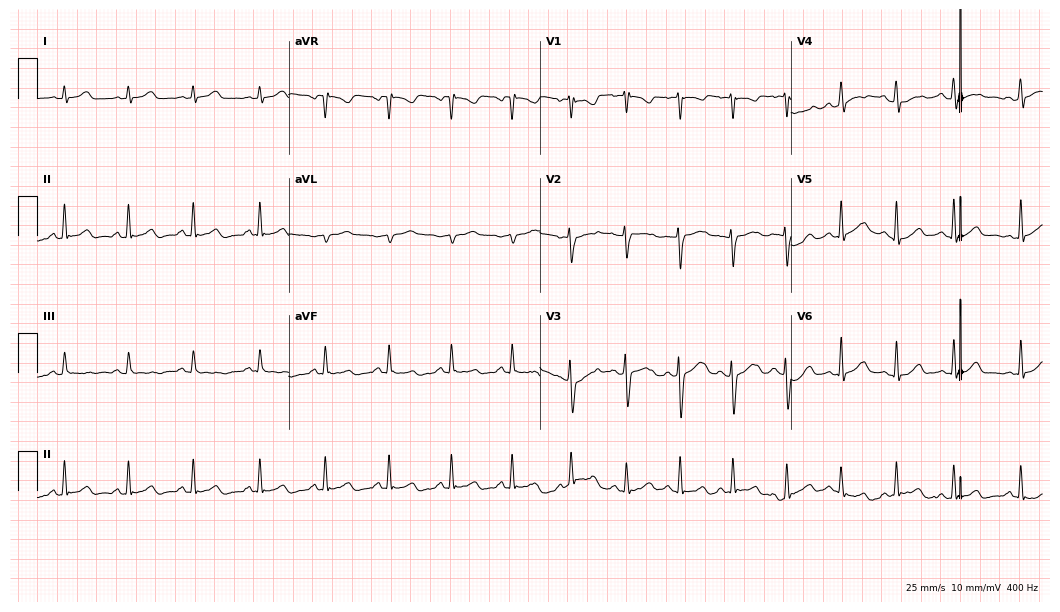
Electrocardiogram, a female patient, 26 years old. Overall reading on record: normal ECG.